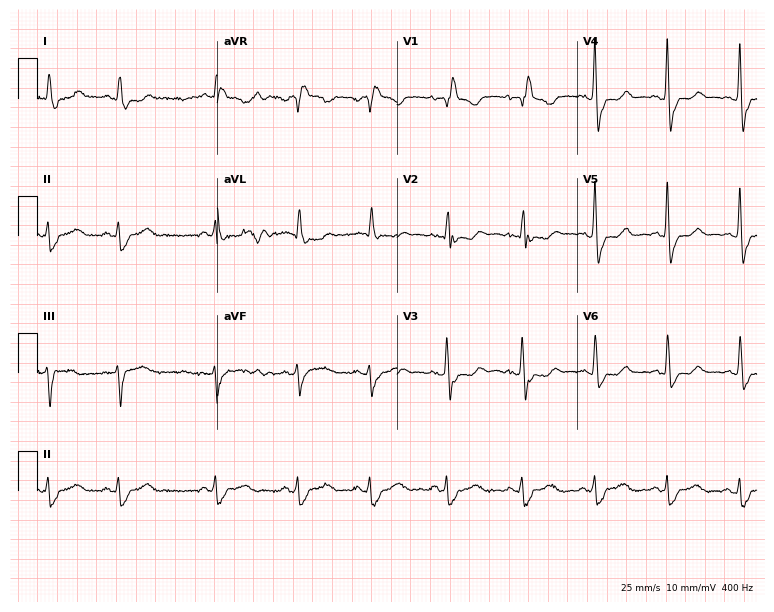
Resting 12-lead electrocardiogram (7.3-second recording at 400 Hz). Patient: a female, 84 years old. The tracing shows right bundle branch block (RBBB).